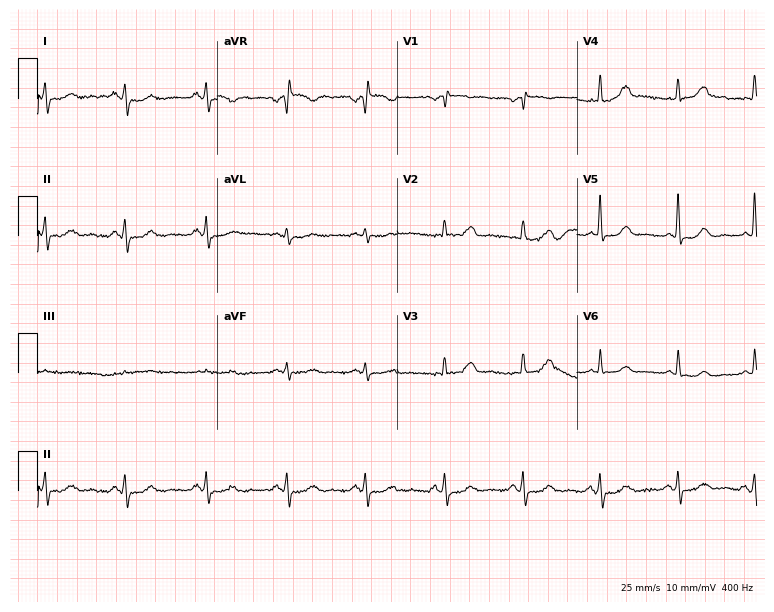
Electrocardiogram, a woman, 54 years old. Overall reading on record: normal ECG.